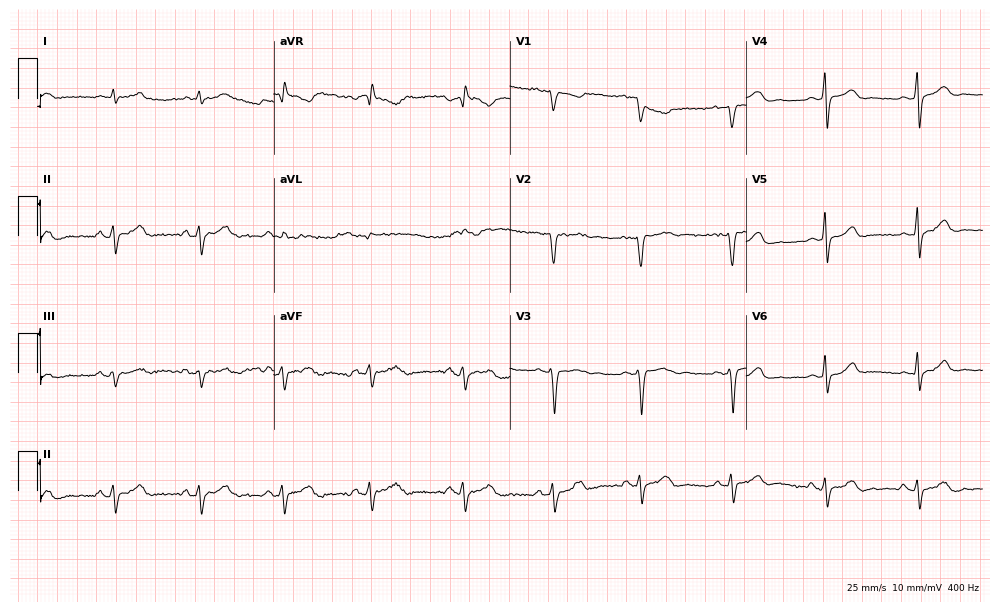
Electrocardiogram, a female patient, 29 years old. Of the six screened findings (first-degree AV block, right bundle branch block, left bundle branch block, sinus bradycardia, atrial fibrillation, sinus tachycardia), none is recorded.